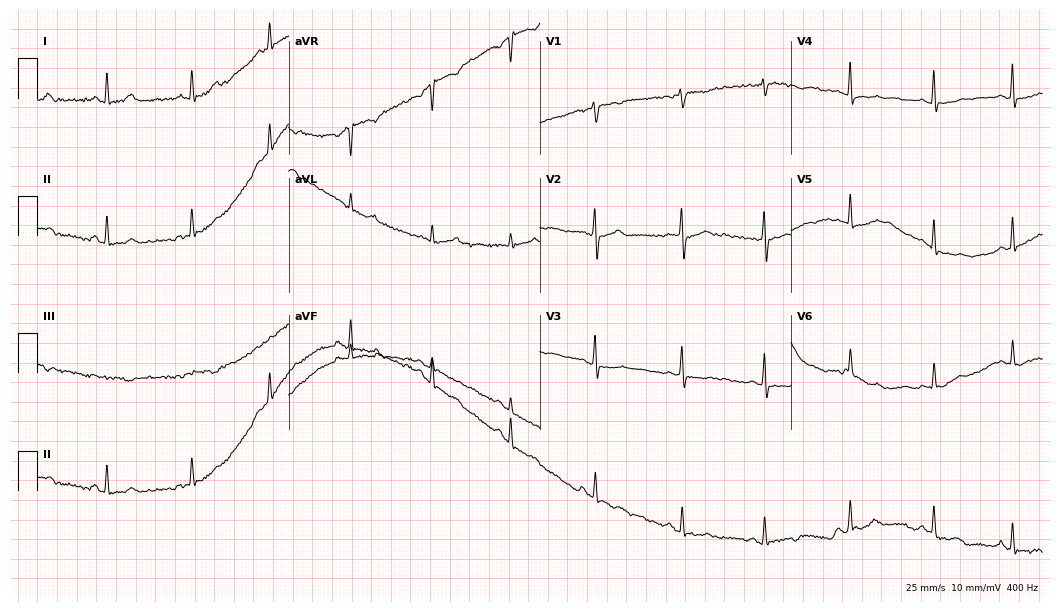
Standard 12-lead ECG recorded from a woman, 33 years old (10.2-second recording at 400 Hz). None of these six findings is recorded: first-degree AV block, right bundle branch block, left bundle branch block, sinus bradycardia, atrial fibrillation, sinus tachycardia. Only these six findings were labelled.